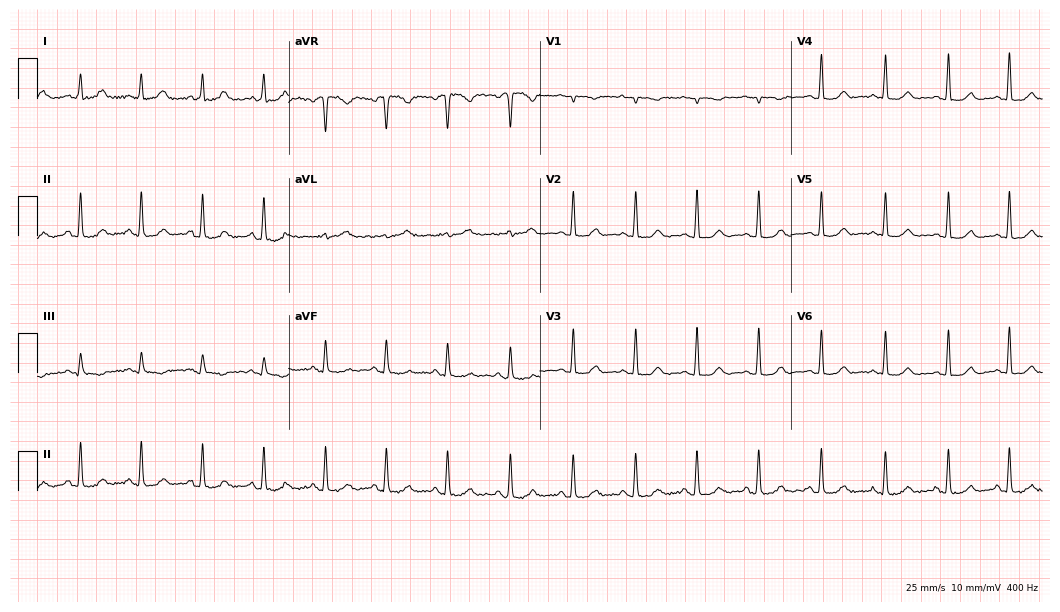
Resting 12-lead electrocardiogram. Patient: a 45-year-old female. None of these six findings is recorded: first-degree AV block, right bundle branch block, left bundle branch block, sinus bradycardia, atrial fibrillation, sinus tachycardia. Only these six findings were labelled.